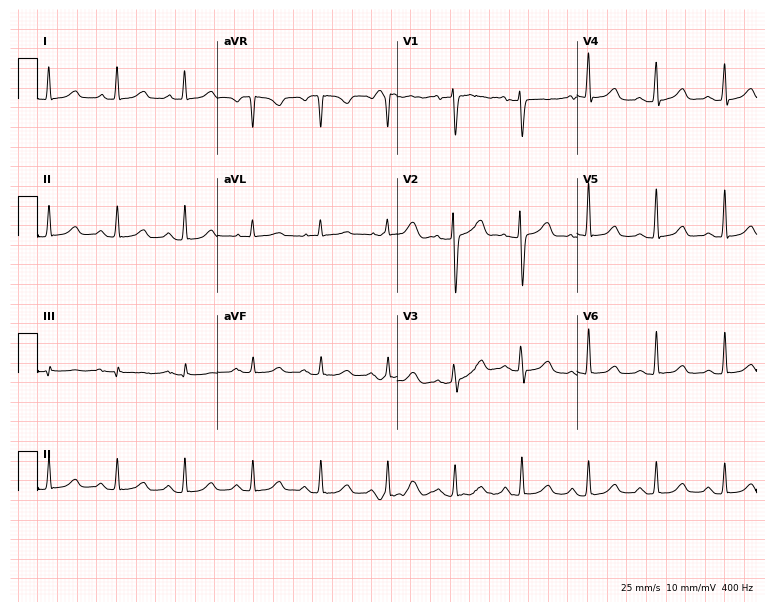
ECG (7.3-second recording at 400 Hz) — a female, 78 years old. Screened for six findings — first-degree AV block, right bundle branch block, left bundle branch block, sinus bradycardia, atrial fibrillation, sinus tachycardia — none is recorded.